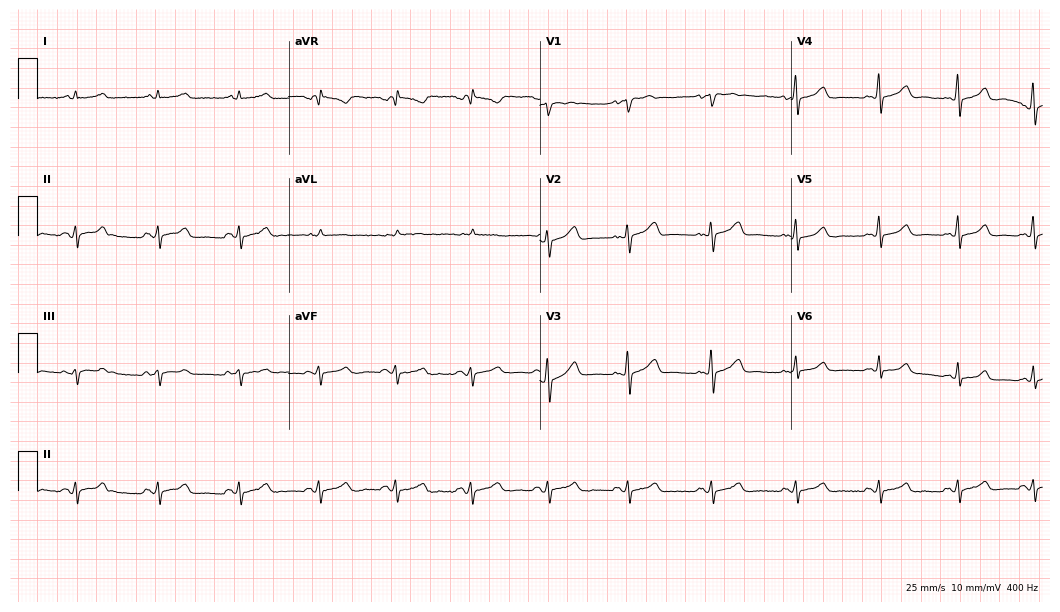
ECG (10.2-second recording at 400 Hz) — a 46-year-old female patient. Labelled as a normal ECG.